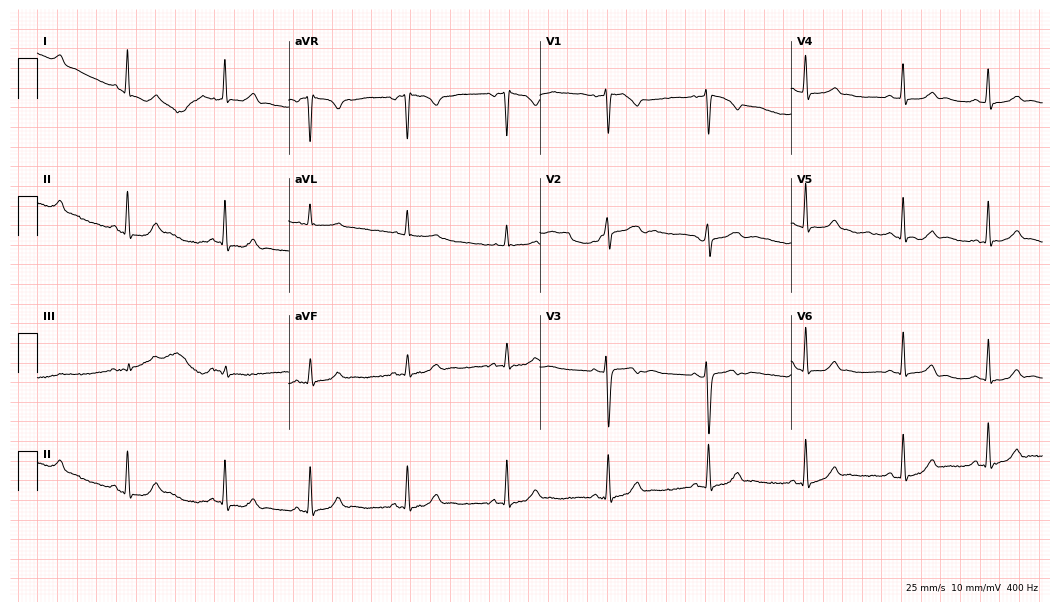
12-lead ECG (10.2-second recording at 400 Hz) from a female patient, 30 years old. Labelled as a normal ECG.